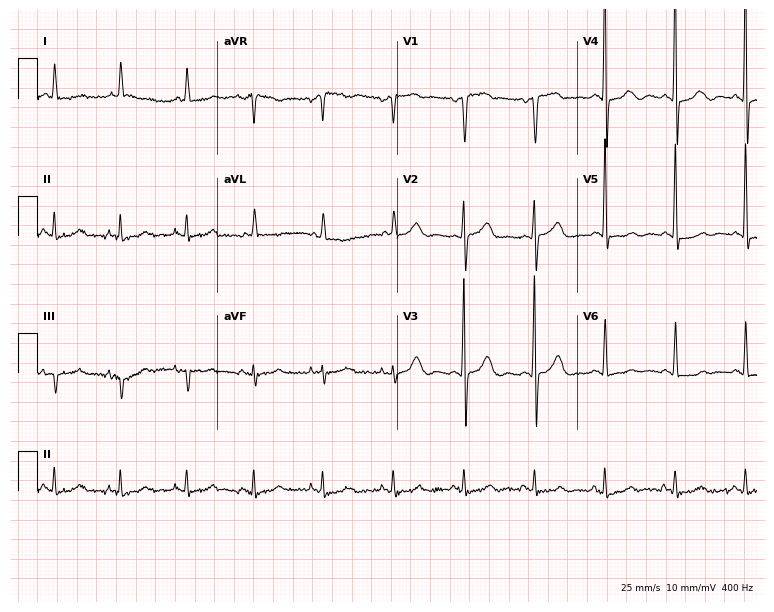
ECG (7.3-second recording at 400 Hz) — a female, 84 years old. Screened for six findings — first-degree AV block, right bundle branch block, left bundle branch block, sinus bradycardia, atrial fibrillation, sinus tachycardia — none is recorded. Other findings, if any, are not listed.